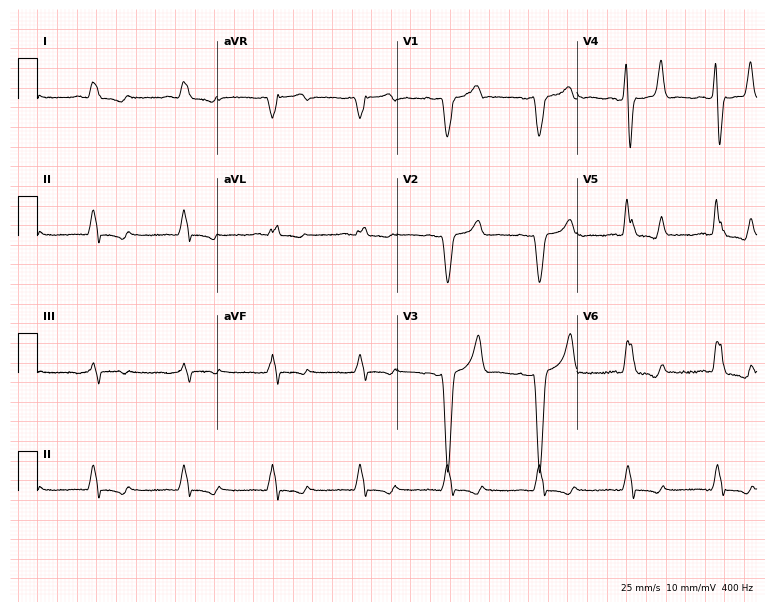
Resting 12-lead electrocardiogram (7.3-second recording at 400 Hz). Patient: a male, 74 years old. The tracing shows left bundle branch block.